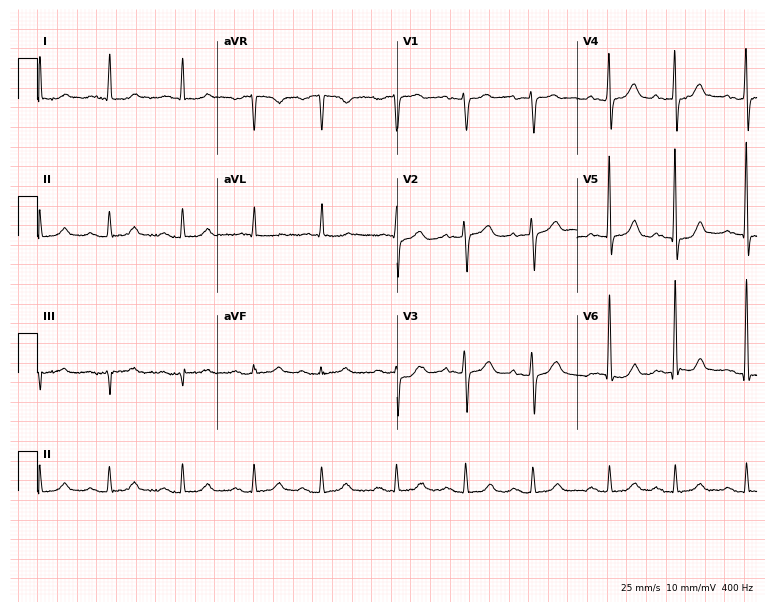
12-lead ECG from an 85-year-old female patient (7.3-second recording at 400 Hz). Recorded interpretation: within normal limits.